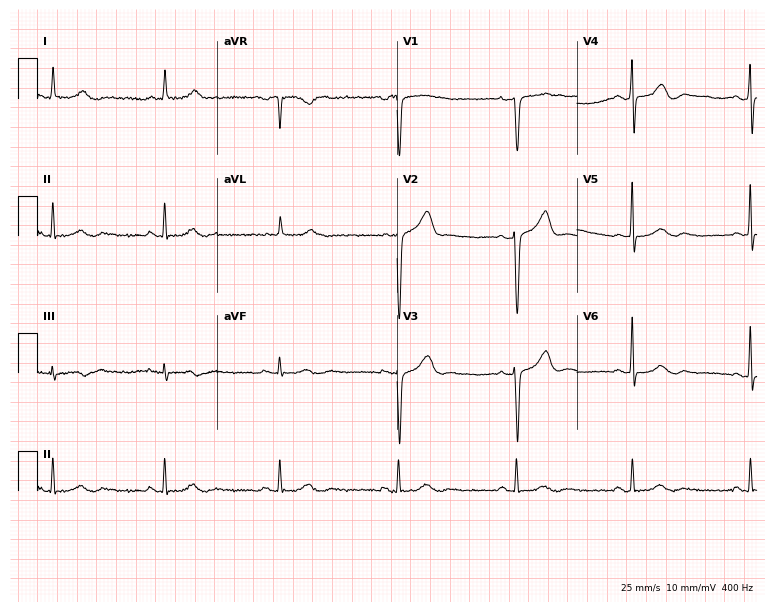
Resting 12-lead electrocardiogram (7.3-second recording at 400 Hz). Patient: a male, 55 years old. None of these six findings is recorded: first-degree AV block, right bundle branch block, left bundle branch block, sinus bradycardia, atrial fibrillation, sinus tachycardia. Findings outside these six are not listed.